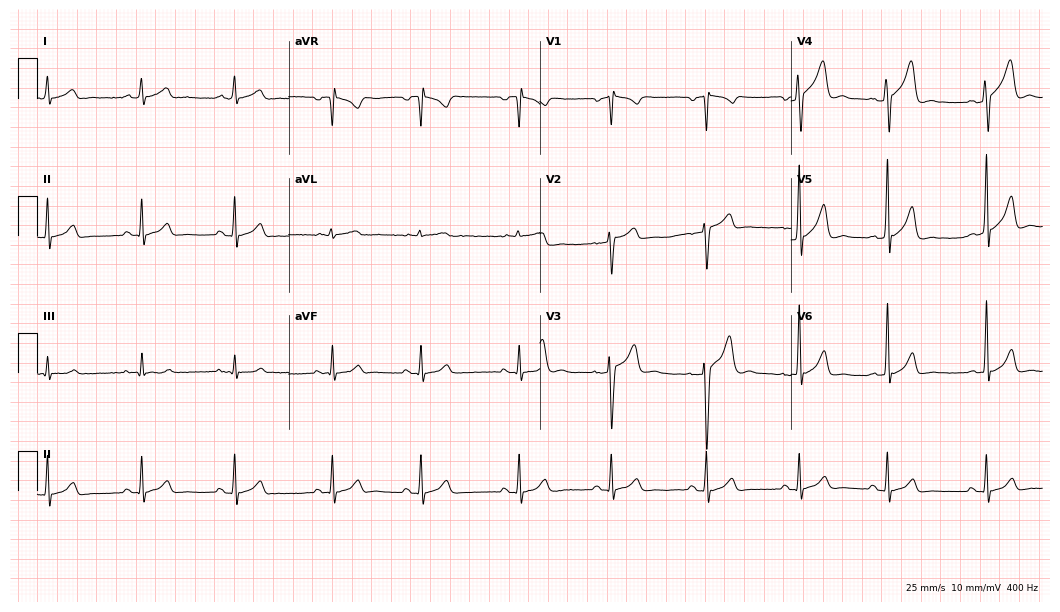
Resting 12-lead electrocardiogram (10.2-second recording at 400 Hz). Patient: a 29-year-old man. Read as a normal ECG.